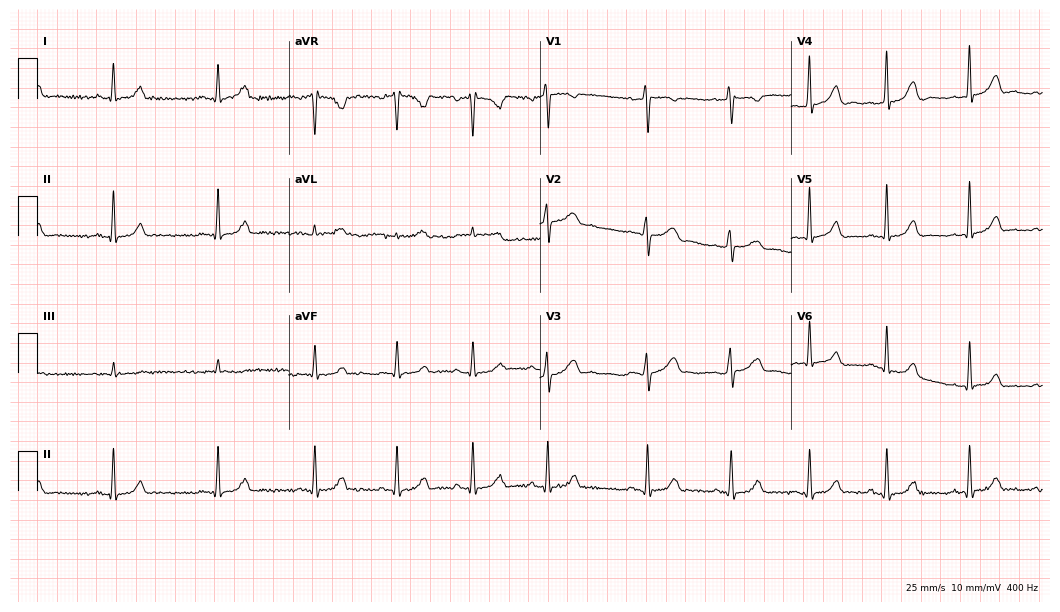
Standard 12-lead ECG recorded from a woman, 22 years old (10.2-second recording at 400 Hz). None of these six findings is recorded: first-degree AV block, right bundle branch block, left bundle branch block, sinus bradycardia, atrial fibrillation, sinus tachycardia.